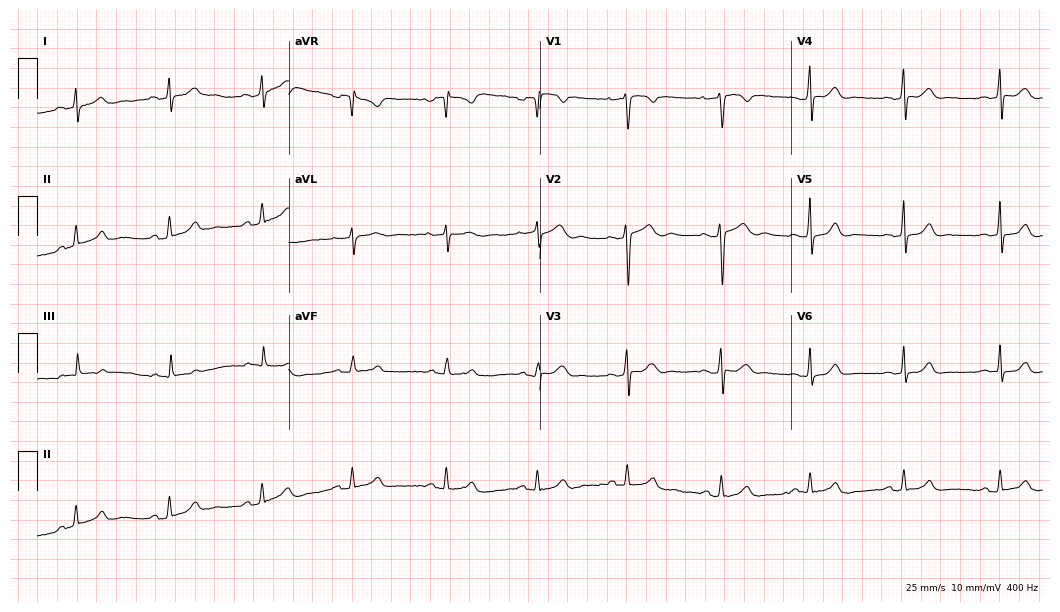
ECG — a female patient, 23 years old. Labelled as a normal ECG.